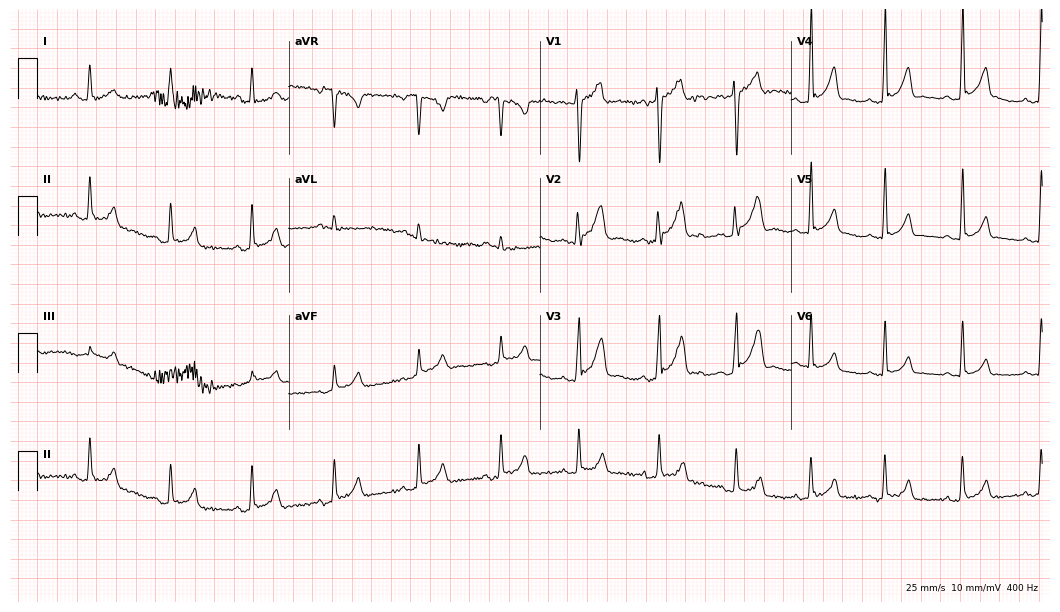
ECG — a man, 18 years old. Screened for six findings — first-degree AV block, right bundle branch block (RBBB), left bundle branch block (LBBB), sinus bradycardia, atrial fibrillation (AF), sinus tachycardia — none is recorded. Findings outside these six are not listed.